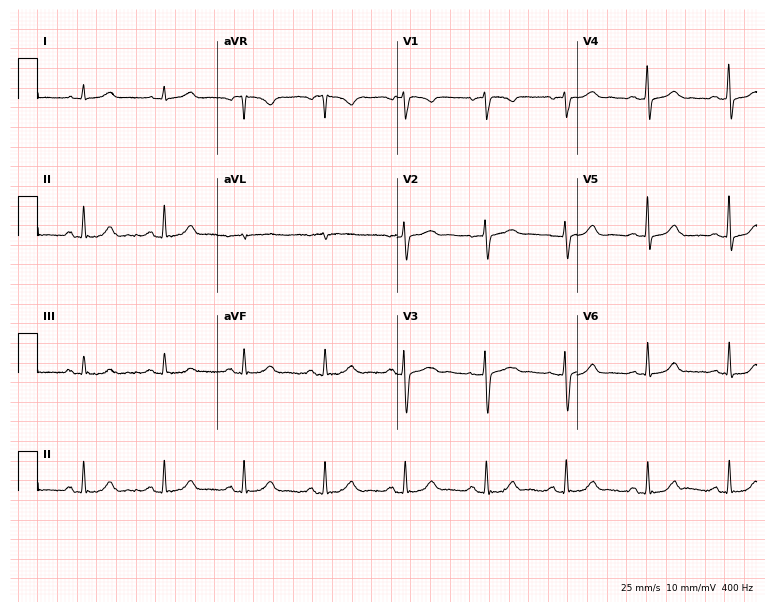
12-lead ECG from a female, 47 years old (7.3-second recording at 400 Hz). No first-degree AV block, right bundle branch block (RBBB), left bundle branch block (LBBB), sinus bradycardia, atrial fibrillation (AF) or sinus tachycardia recorded for this tracing.